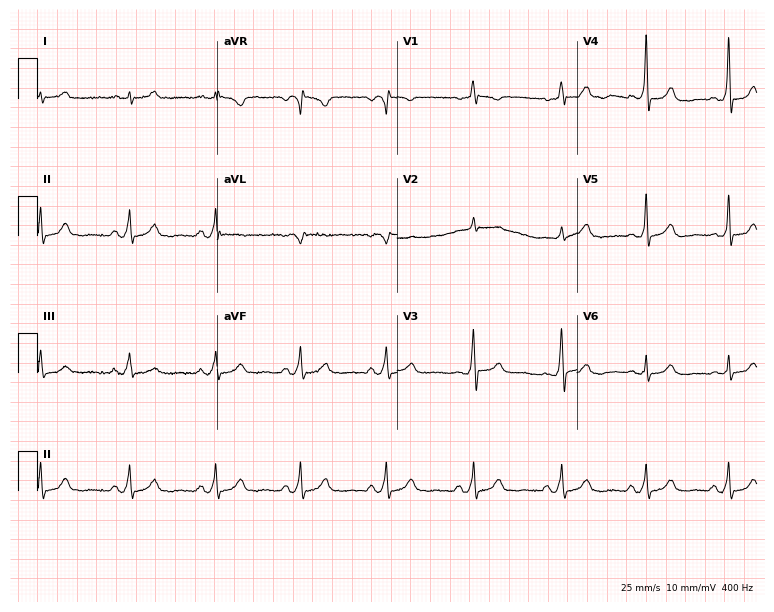
ECG — a 52-year-old woman. Screened for six findings — first-degree AV block, right bundle branch block (RBBB), left bundle branch block (LBBB), sinus bradycardia, atrial fibrillation (AF), sinus tachycardia — none is recorded.